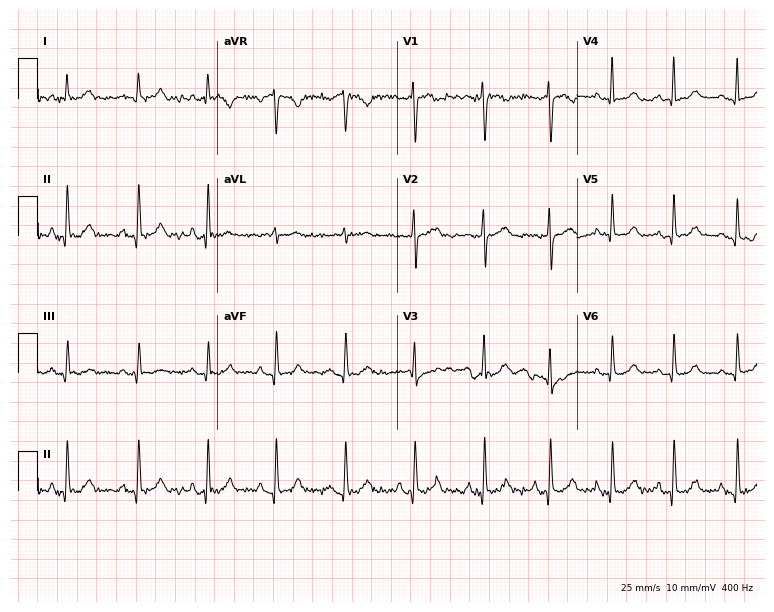
Resting 12-lead electrocardiogram. Patient: a woman, 35 years old. Read as a normal ECG.